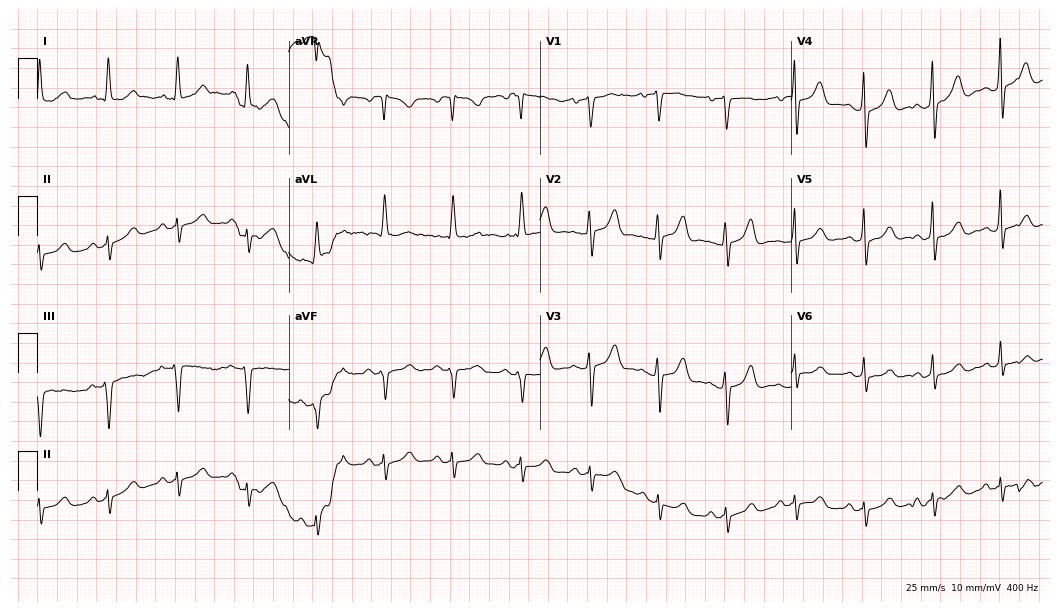
12-lead ECG (10.2-second recording at 400 Hz) from a female patient, 70 years old. Screened for six findings — first-degree AV block, right bundle branch block, left bundle branch block, sinus bradycardia, atrial fibrillation, sinus tachycardia — none is recorded.